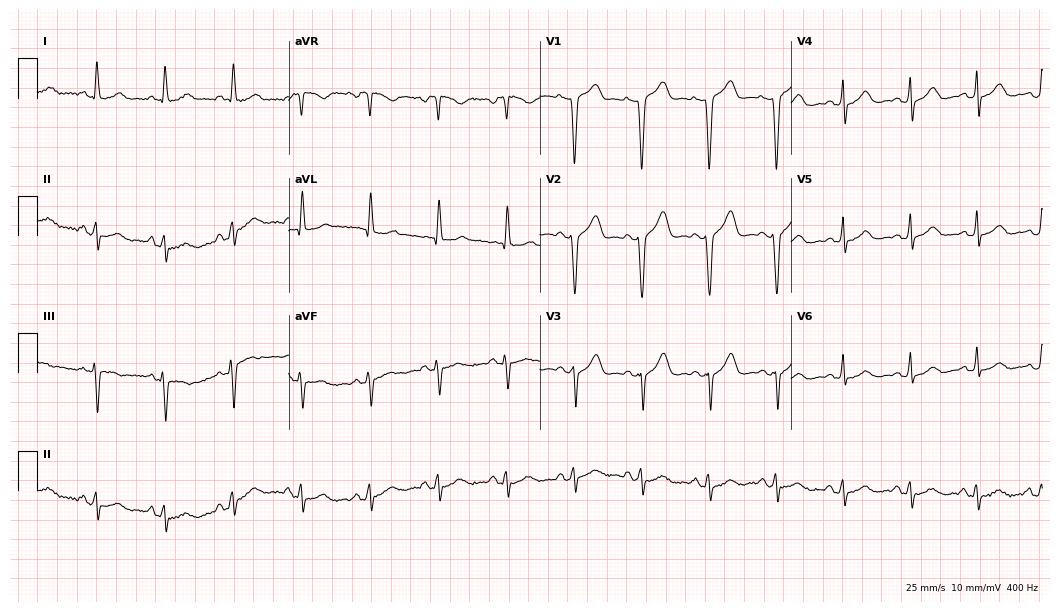
Electrocardiogram, a 49-year-old female. Of the six screened findings (first-degree AV block, right bundle branch block (RBBB), left bundle branch block (LBBB), sinus bradycardia, atrial fibrillation (AF), sinus tachycardia), none is recorded. Findings outside these six are not listed.